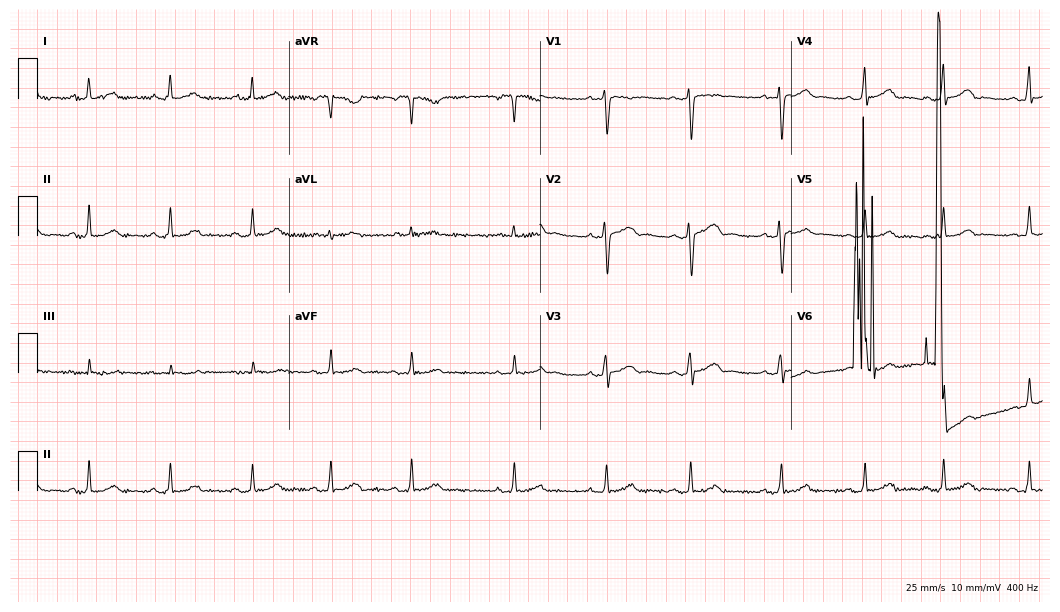
ECG — a female patient, 25 years old. Screened for six findings — first-degree AV block, right bundle branch block (RBBB), left bundle branch block (LBBB), sinus bradycardia, atrial fibrillation (AF), sinus tachycardia — none is recorded. Only these six findings were labelled.